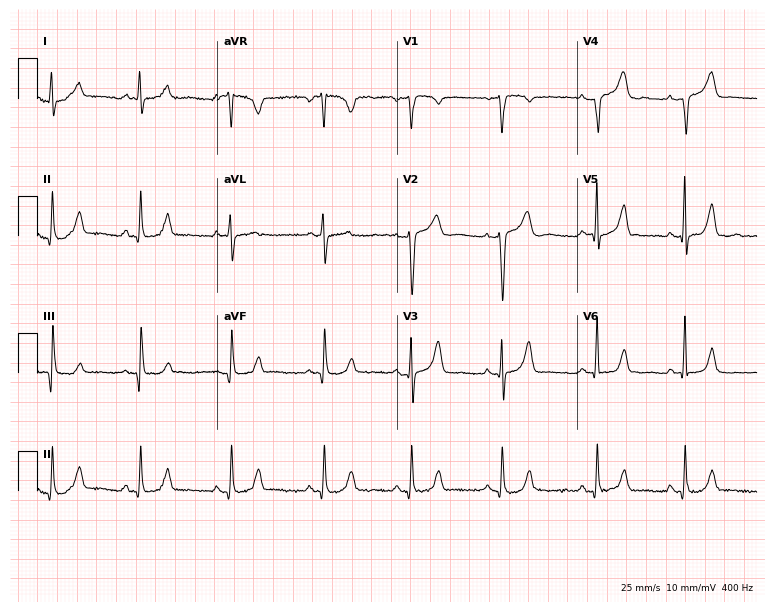
12-lead ECG from a 47-year-old woman. Labelled as a normal ECG.